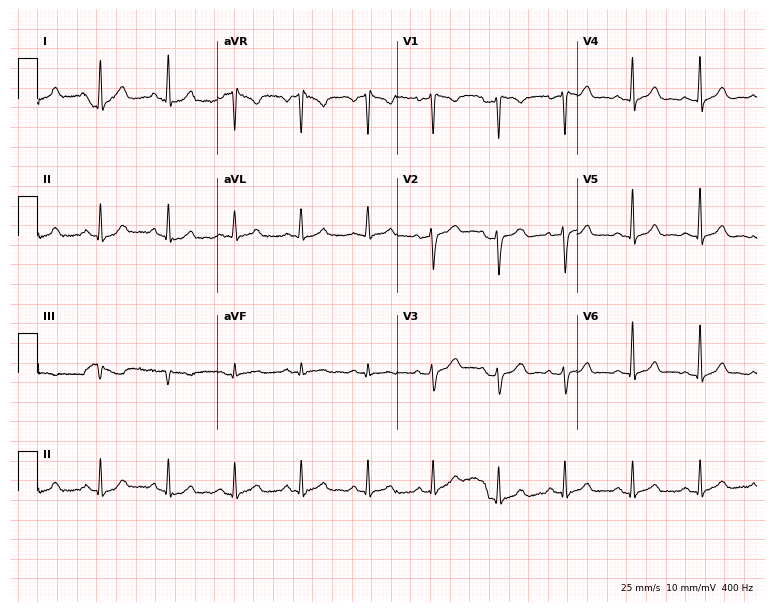
Electrocardiogram, a 29-year-old female patient. Of the six screened findings (first-degree AV block, right bundle branch block (RBBB), left bundle branch block (LBBB), sinus bradycardia, atrial fibrillation (AF), sinus tachycardia), none is recorded.